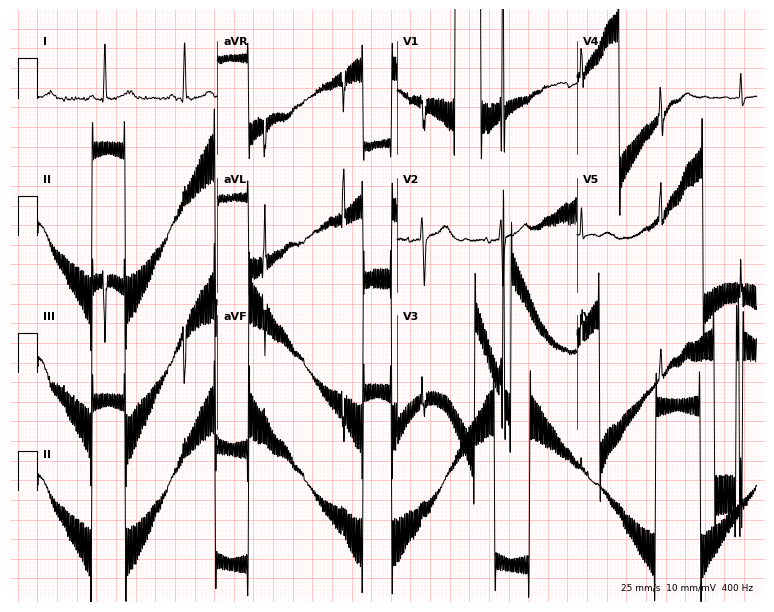
12-lead ECG from a female patient, 83 years old (7.3-second recording at 400 Hz). No first-degree AV block, right bundle branch block (RBBB), left bundle branch block (LBBB), sinus bradycardia, atrial fibrillation (AF) or sinus tachycardia recorded for this tracing. Findings outside these six are not listed.